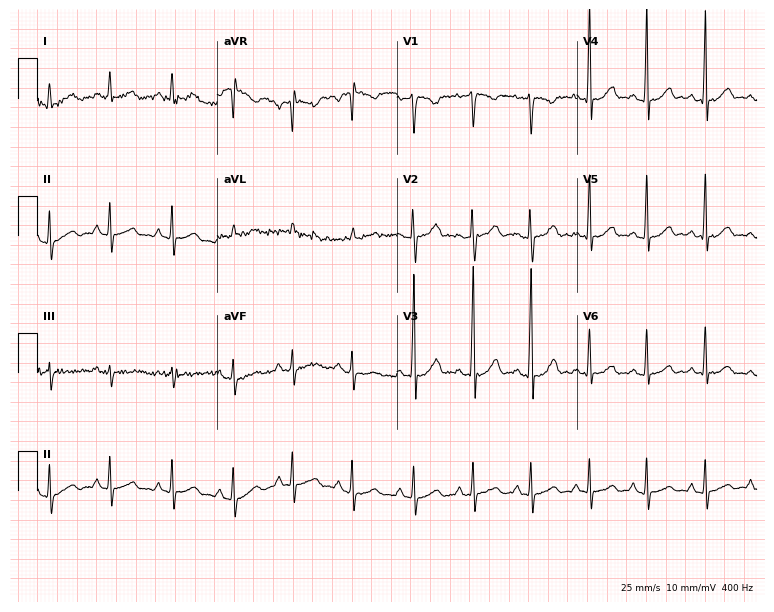
Resting 12-lead electrocardiogram. Patient: a 23-year-old female. None of these six findings is recorded: first-degree AV block, right bundle branch block, left bundle branch block, sinus bradycardia, atrial fibrillation, sinus tachycardia.